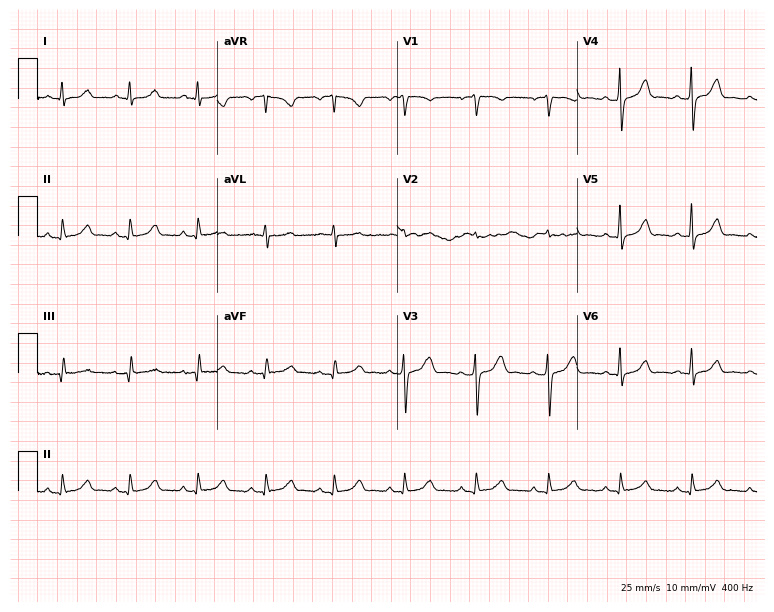
ECG (7.3-second recording at 400 Hz) — a 42-year-old female patient. Screened for six findings — first-degree AV block, right bundle branch block, left bundle branch block, sinus bradycardia, atrial fibrillation, sinus tachycardia — none is recorded. Other findings, if any, are not listed.